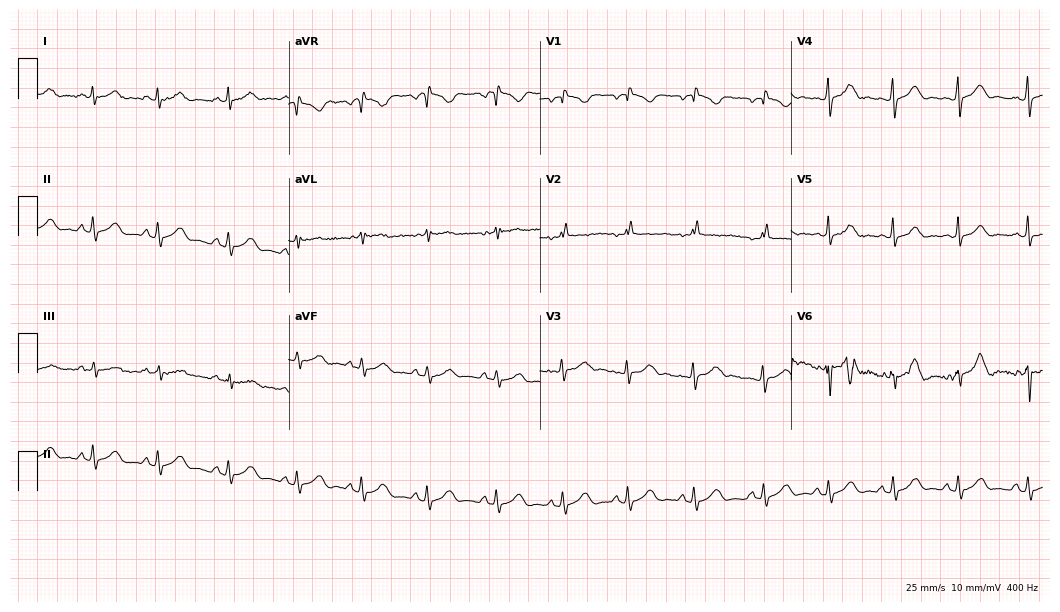
Standard 12-lead ECG recorded from a 21-year-old female. None of these six findings is recorded: first-degree AV block, right bundle branch block, left bundle branch block, sinus bradycardia, atrial fibrillation, sinus tachycardia. Only these six findings were labelled.